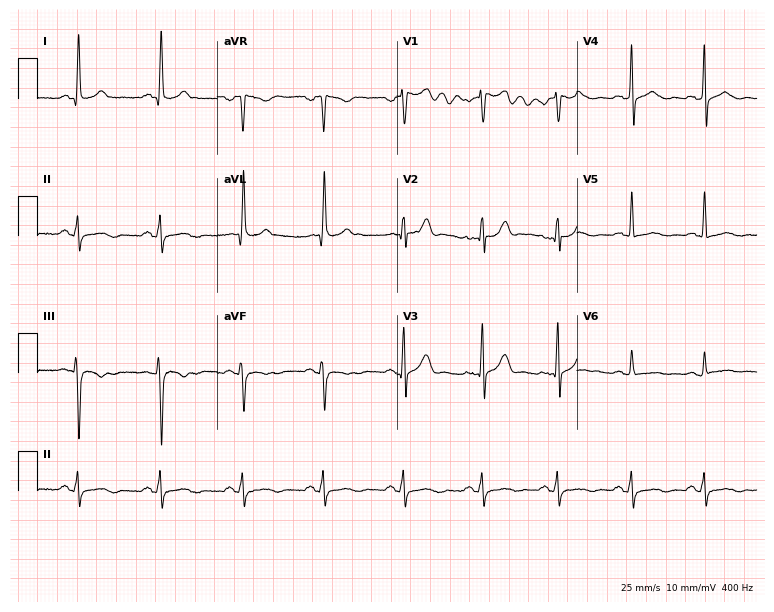
Standard 12-lead ECG recorded from a 47-year-old man (7.3-second recording at 400 Hz). None of these six findings is recorded: first-degree AV block, right bundle branch block, left bundle branch block, sinus bradycardia, atrial fibrillation, sinus tachycardia. Findings outside these six are not listed.